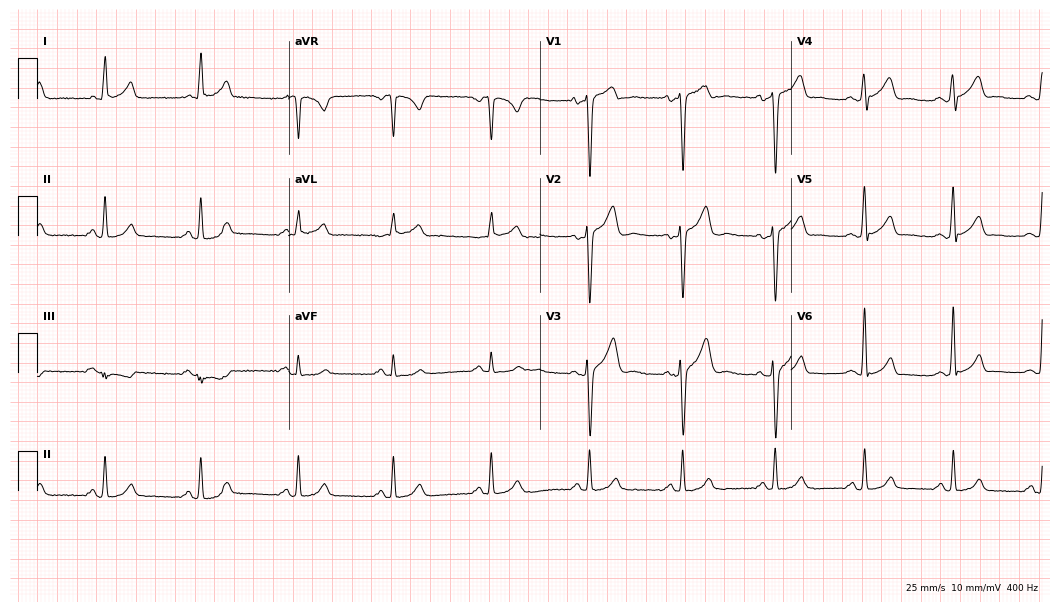
12-lead ECG from a 28-year-old man. Recorded interpretation: within normal limits.